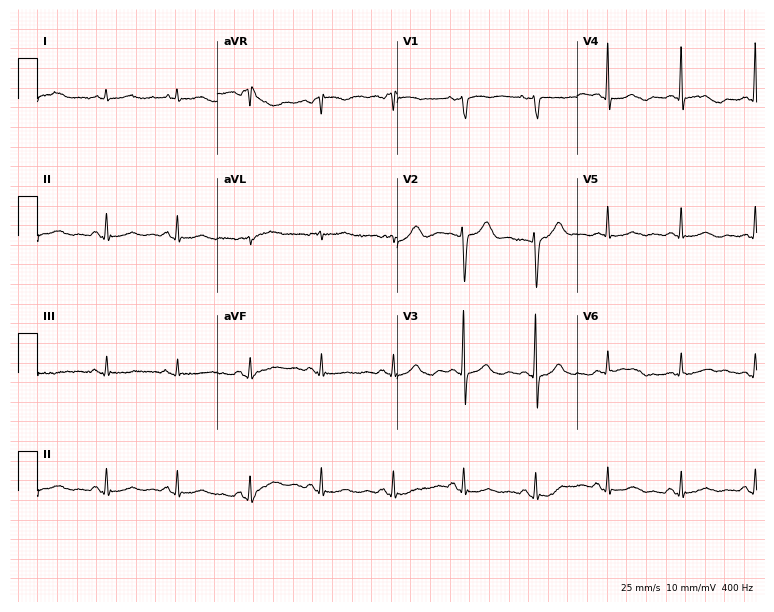
12-lead ECG (7.3-second recording at 400 Hz) from a 76-year-old female patient. Screened for six findings — first-degree AV block, right bundle branch block, left bundle branch block, sinus bradycardia, atrial fibrillation, sinus tachycardia — none is recorded. Findings outside these six are not listed.